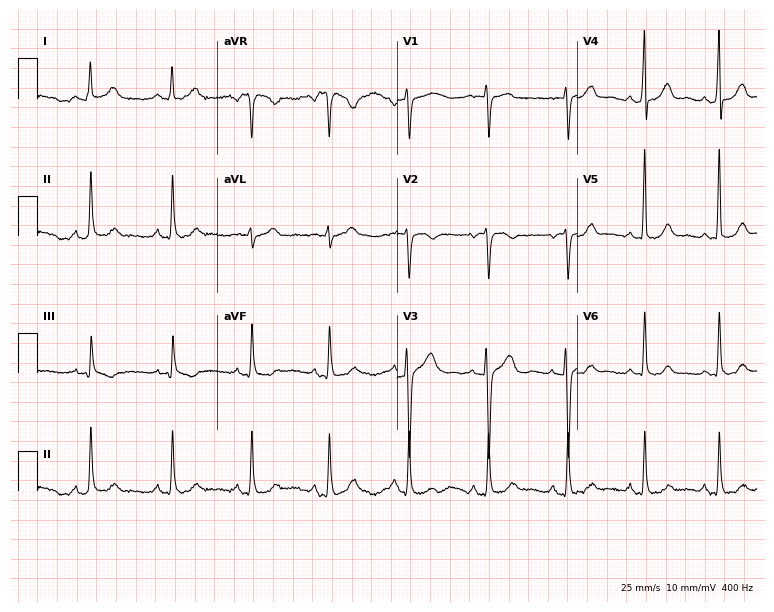
Resting 12-lead electrocardiogram. Patient: a female, 29 years old. Read as a normal ECG.